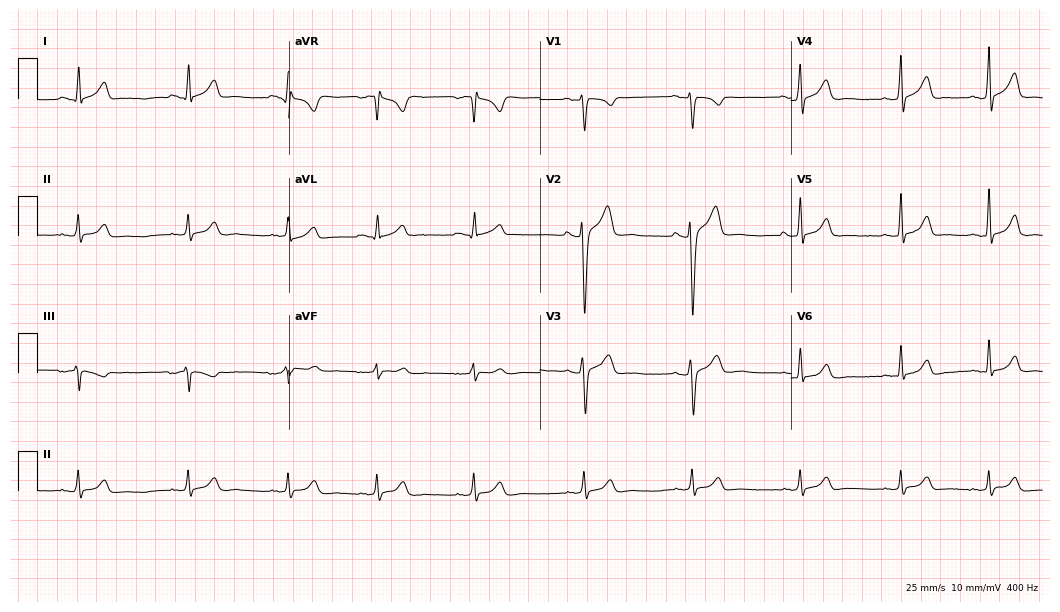
12-lead ECG from a male patient, 24 years old. Recorded interpretation: within normal limits.